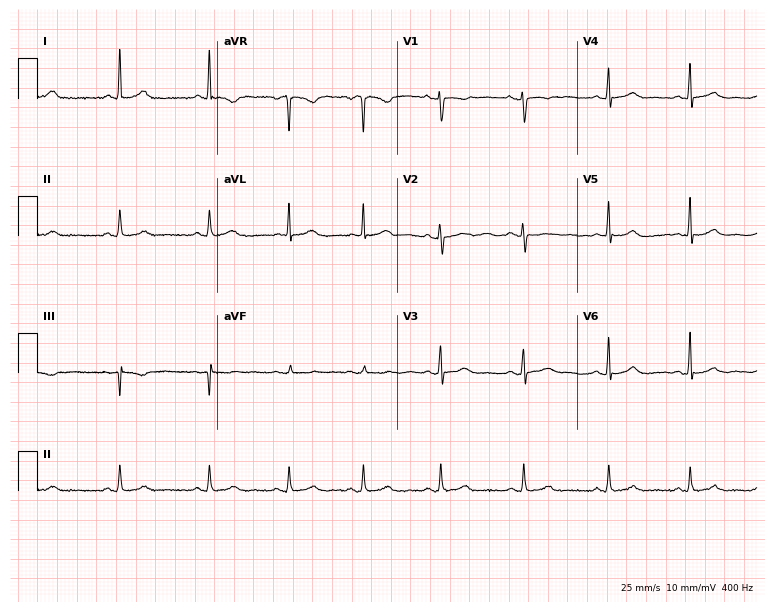
12-lead ECG from a 33-year-old female patient. Recorded interpretation: within normal limits.